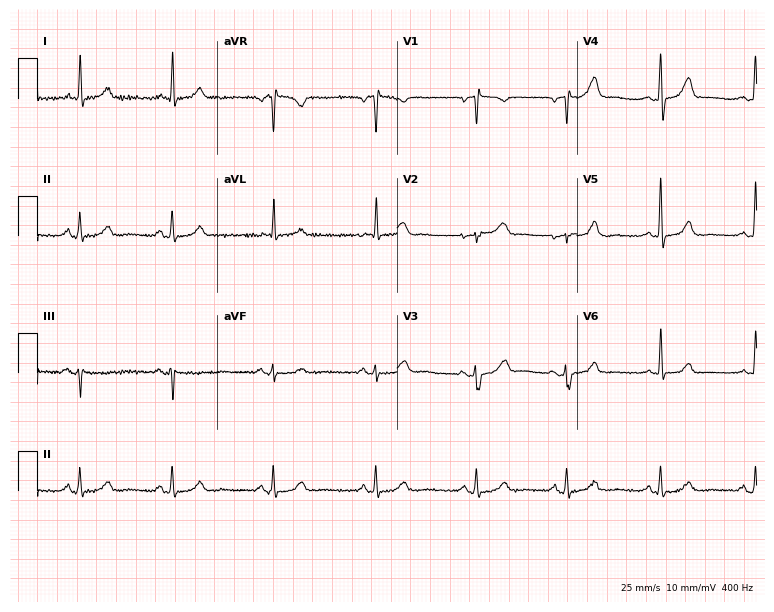
12-lead ECG (7.3-second recording at 400 Hz) from a female patient, 64 years old. Screened for six findings — first-degree AV block, right bundle branch block, left bundle branch block, sinus bradycardia, atrial fibrillation, sinus tachycardia — none is recorded. Findings outside these six are not listed.